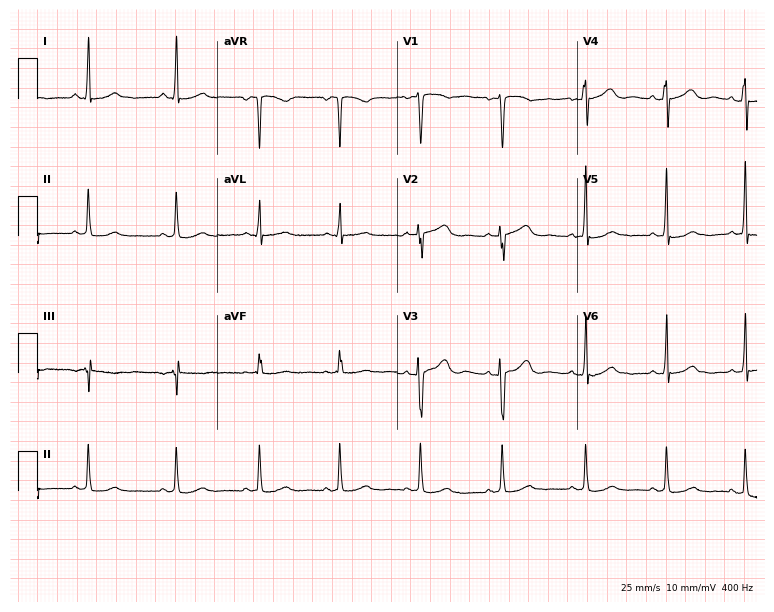
ECG (7.3-second recording at 400 Hz) — a 37-year-old woman. Labelled as a normal ECG.